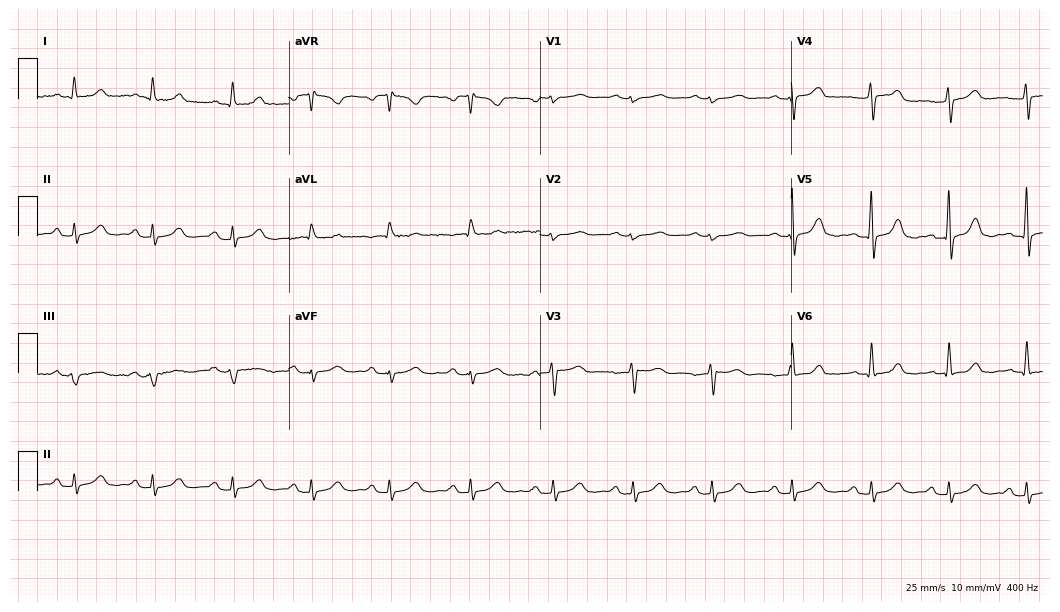
ECG (10.2-second recording at 400 Hz) — a 52-year-old female patient. Labelled as a normal ECG.